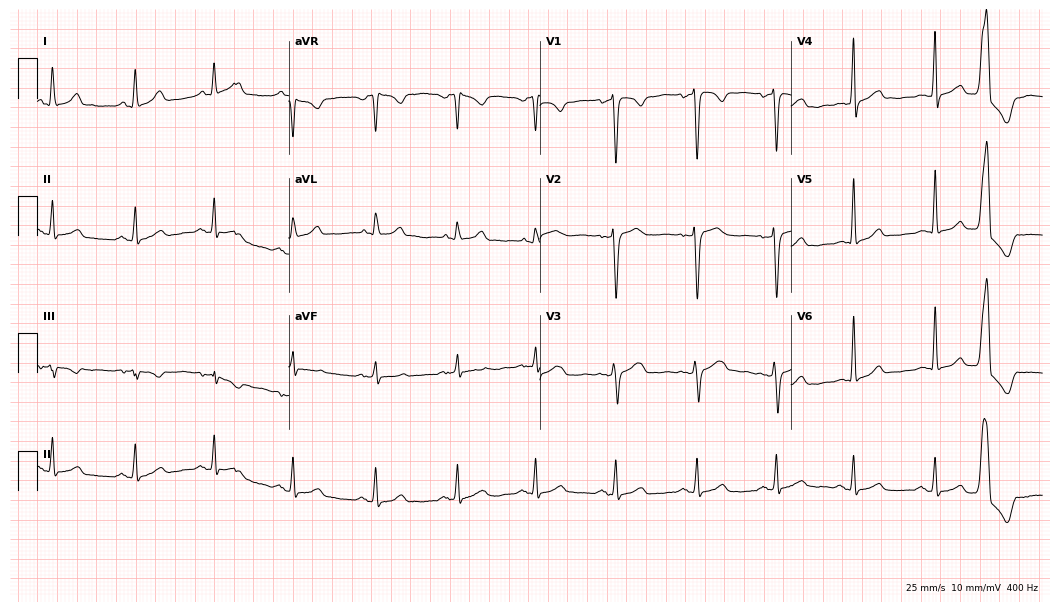
Standard 12-lead ECG recorded from a female, 46 years old (10.2-second recording at 400 Hz). Read as a normal ECG.